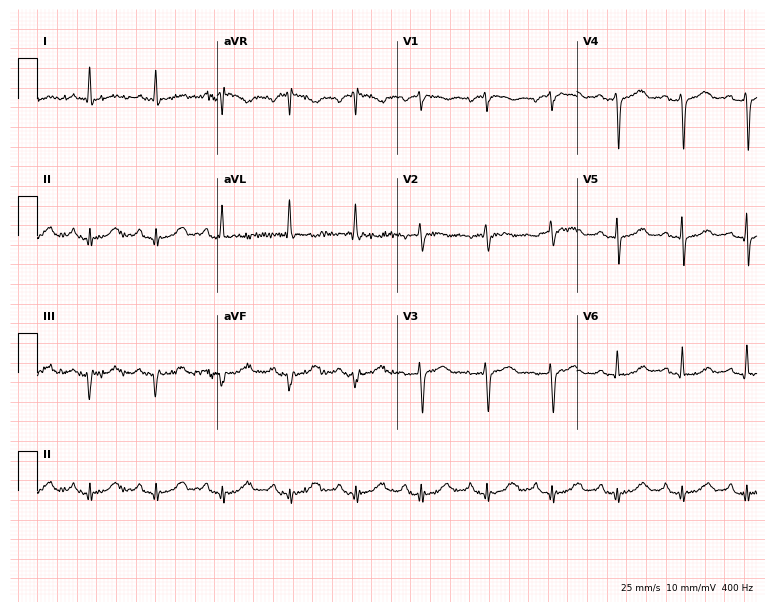
ECG (7.3-second recording at 400 Hz) — a female patient, 73 years old. Screened for six findings — first-degree AV block, right bundle branch block, left bundle branch block, sinus bradycardia, atrial fibrillation, sinus tachycardia — none is recorded.